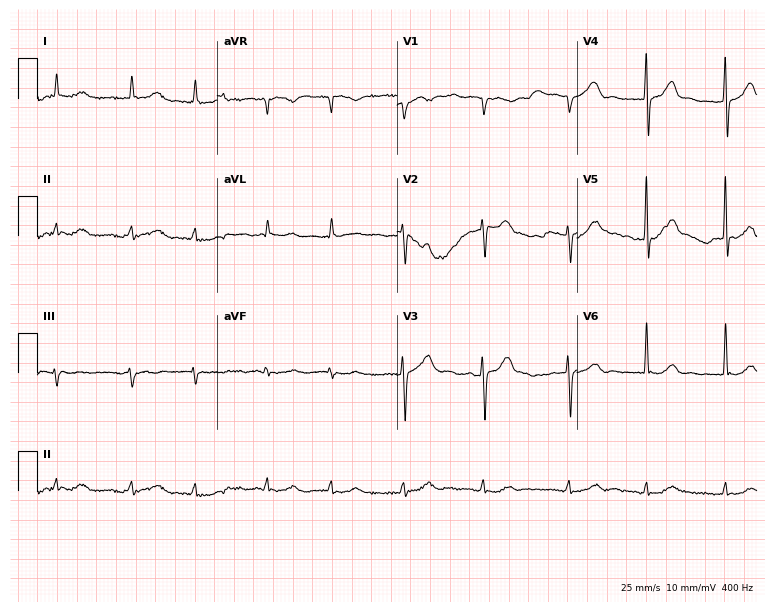
Standard 12-lead ECG recorded from a 75-year-old man. The tracing shows atrial fibrillation (AF).